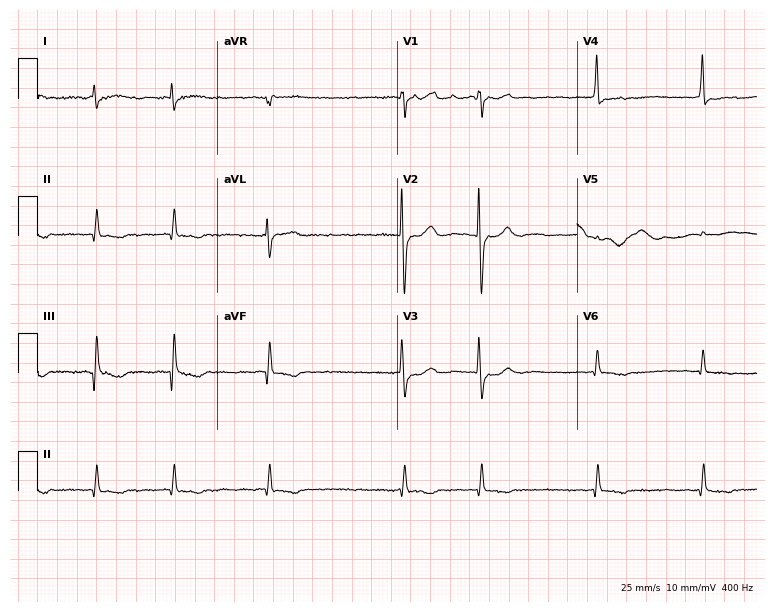
Standard 12-lead ECG recorded from a female patient, 42 years old (7.3-second recording at 400 Hz). The tracing shows atrial fibrillation (AF).